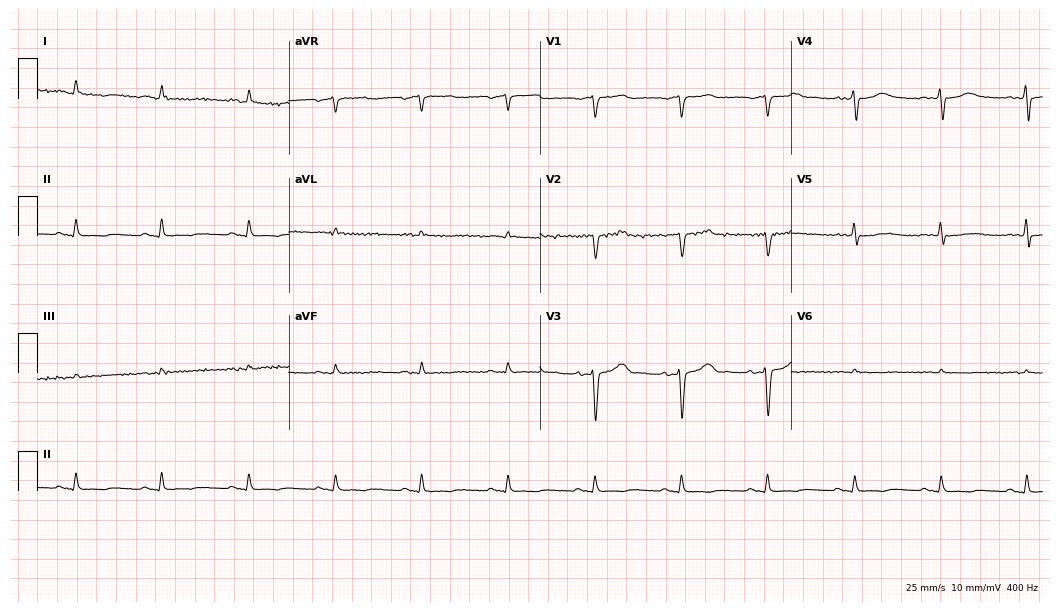
ECG (10.2-second recording at 400 Hz) — a 63-year-old male patient. Screened for six findings — first-degree AV block, right bundle branch block (RBBB), left bundle branch block (LBBB), sinus bradycardia, atrial fibrillation (AF), sinus tachycardia — none is recorded. Only these six findings were labelled.